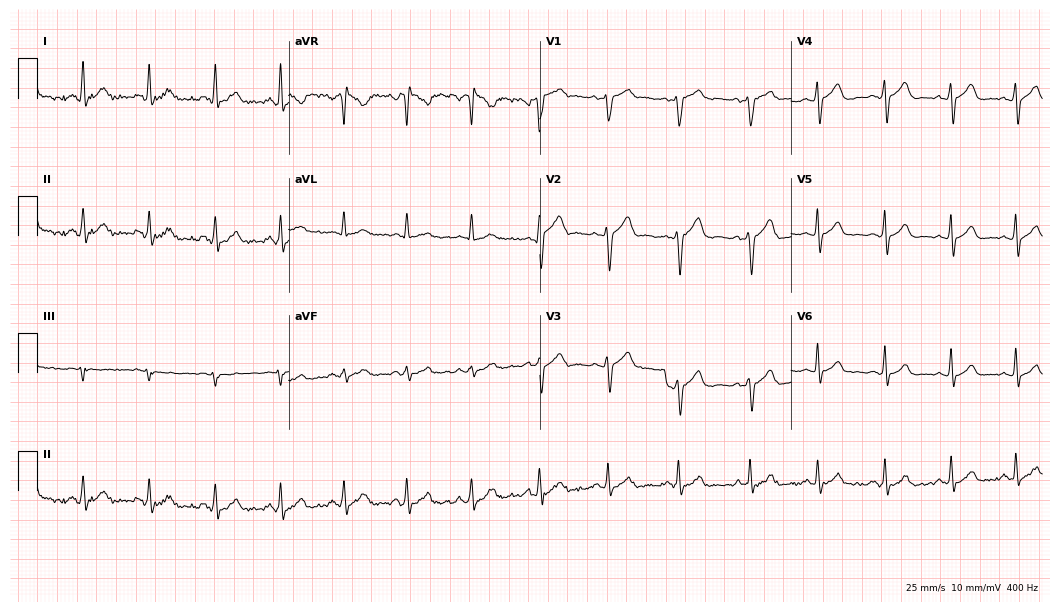
Electrocardiogram, a 22-year-old male. Of the six screened findings (first-degree AV block, right bundle branch block, left bundle branch block, sinus bradycardia, atrial fibrillation, sinus tachycardia), none is recorded.